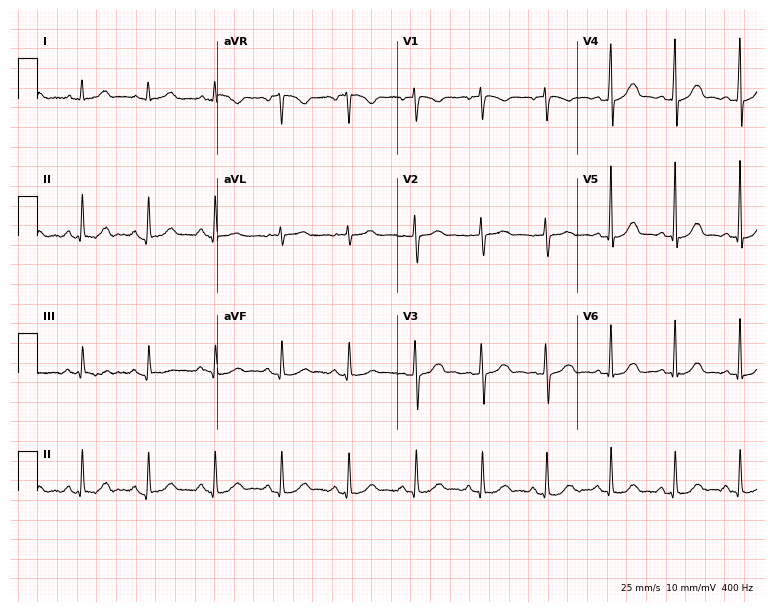
Standard 12-lead ECG recorded from a female patient, 37 years old (7.3-second recording at 400 Hz). Read as a normal ECG.